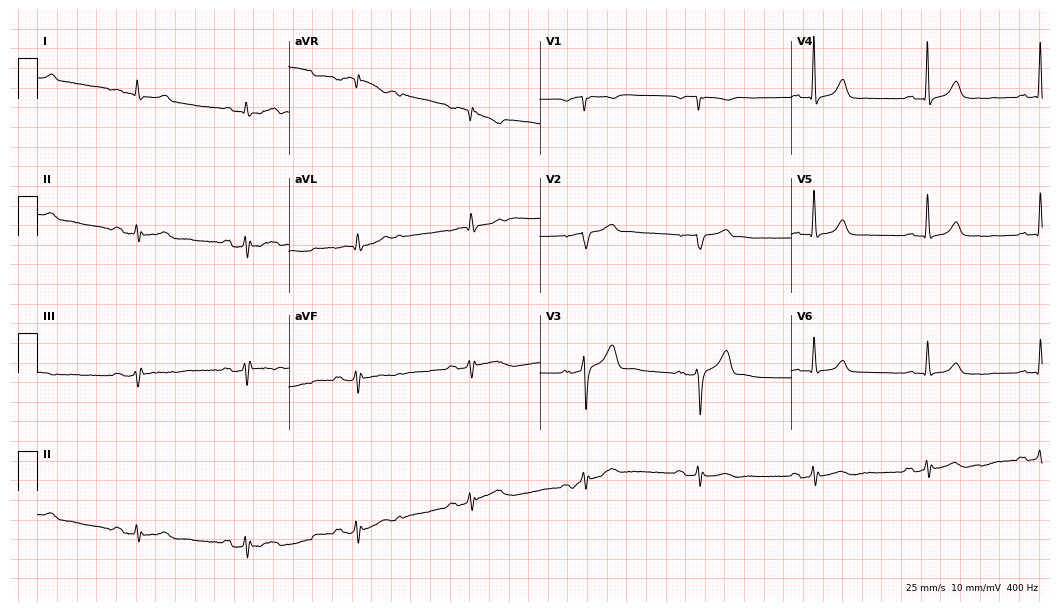
Electrocardiogram (10.2-second recording at 400 Hz), a 67-year-old man. Overall reading on record: normal ECG.